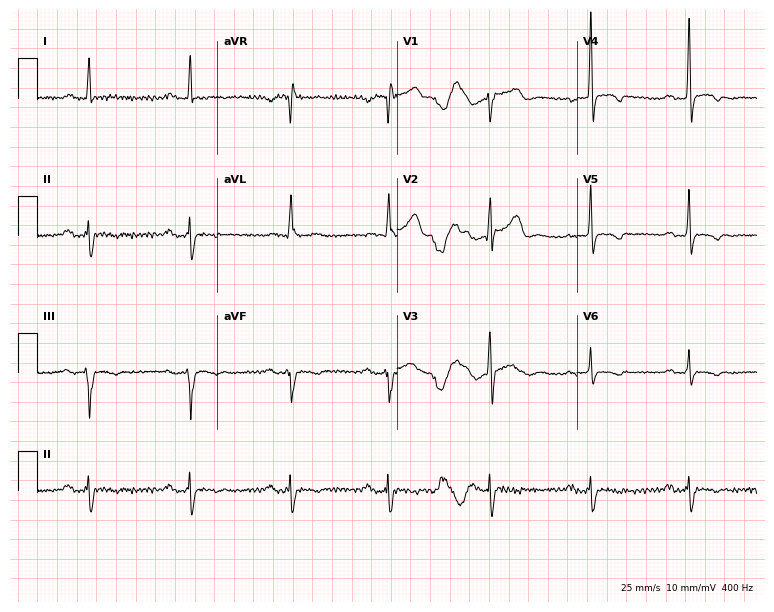
ECG (7.3-second recording at 400 Hz) — a 66-year-old man. Screened for six findings — first-degree AV block, right bundle branch block, left bundle branch block, sinus bradycardia, atrial fibrillation, sinus tachycardia — none is recorded. Only these six findings were labelled.